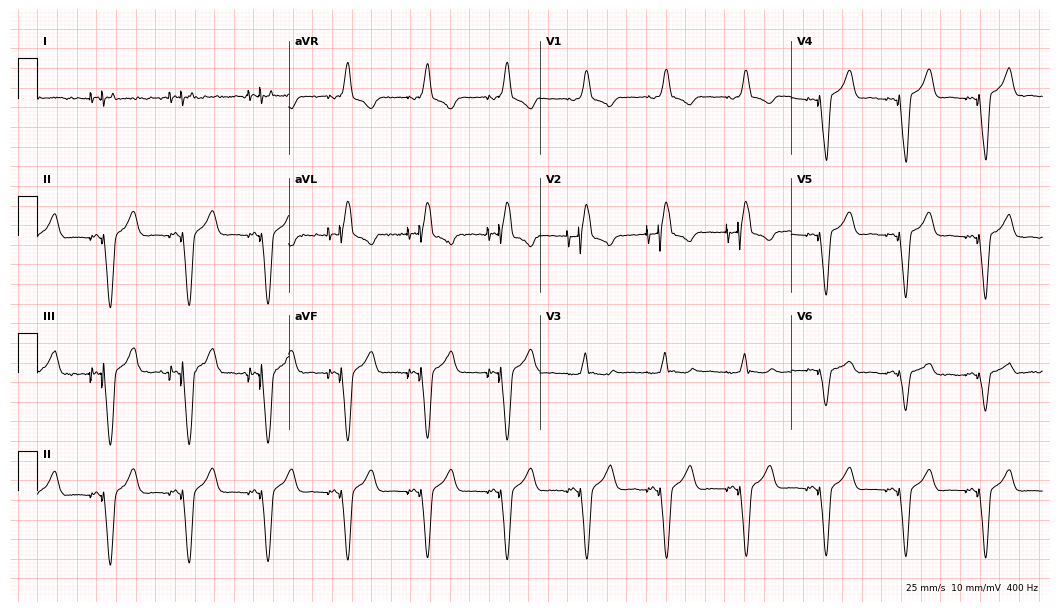
12-lead ECG from a 74-year-old man. No first-degree AV block, right bundle branch block (RBBB), left bundle branch block (LBBB), sinus bradycardia, atrial fibrillation (AF) or sinus tachycardia recorded for this tracing. Only these six findings were labelled.